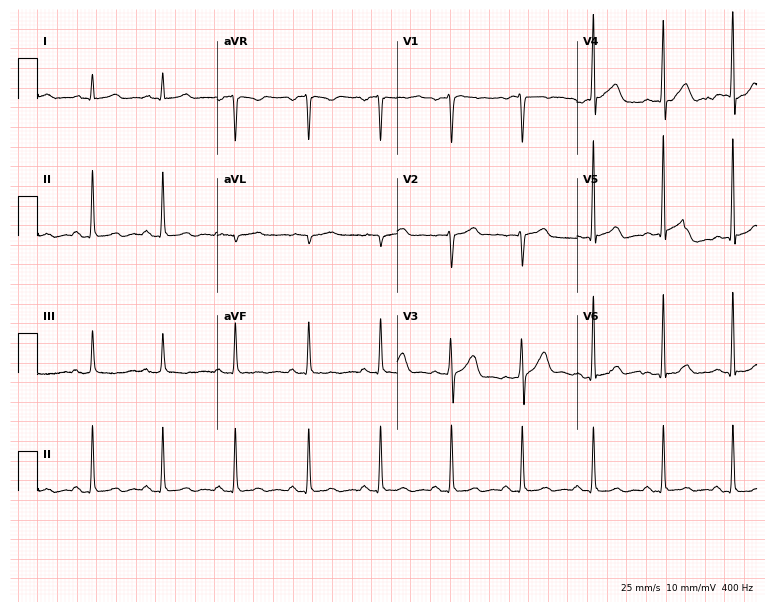
12-lead ECG from a 47-year-old male patient. Screened for six findings — first-degree AV block, right bundle branch block, left bundle branch block, sinus bradycardia, atrial fibrillation, sinus tachycardia — none is recorded. Findings outside these six are not listed.